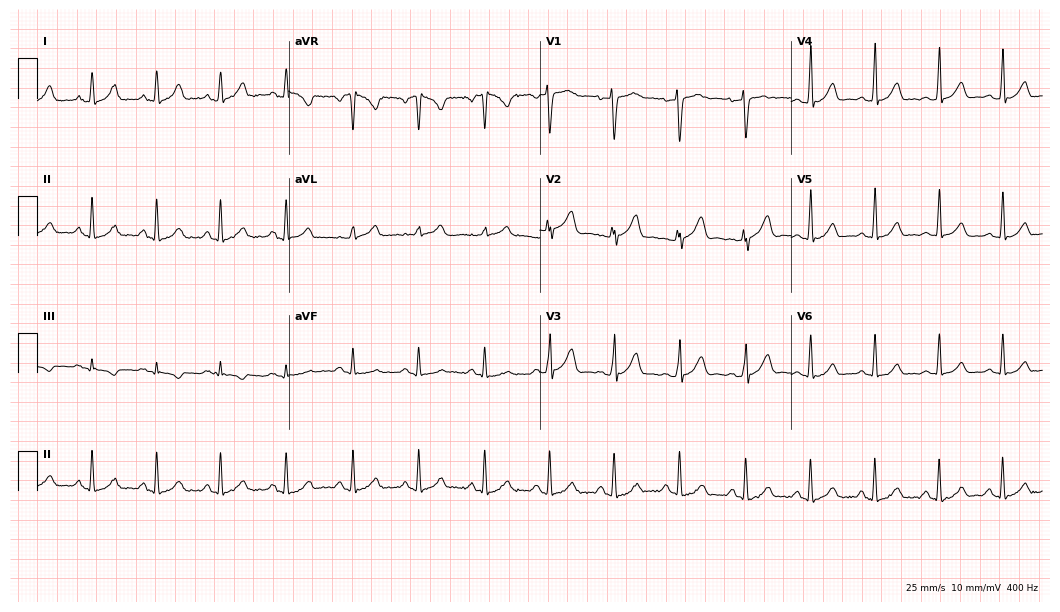
Standard 12-lead ECG recorded from a 21-year-old female patient. Read as a normal ECG.